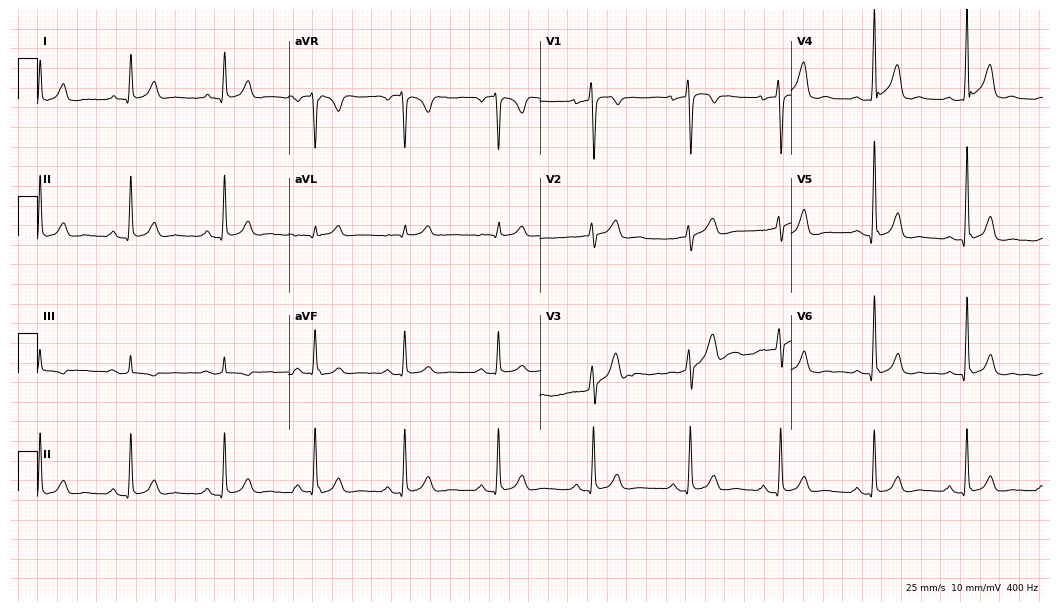
Resting 12-lead electrocardiogram (10.2-second recording at 400 Hz). Patient: a 25-year-old male. None of these six findings is recorded: first-degree AV block, right bundle branch block, left bundle branch block, sinus bradycardia, atrial fibrillation, sinus tachycardia.